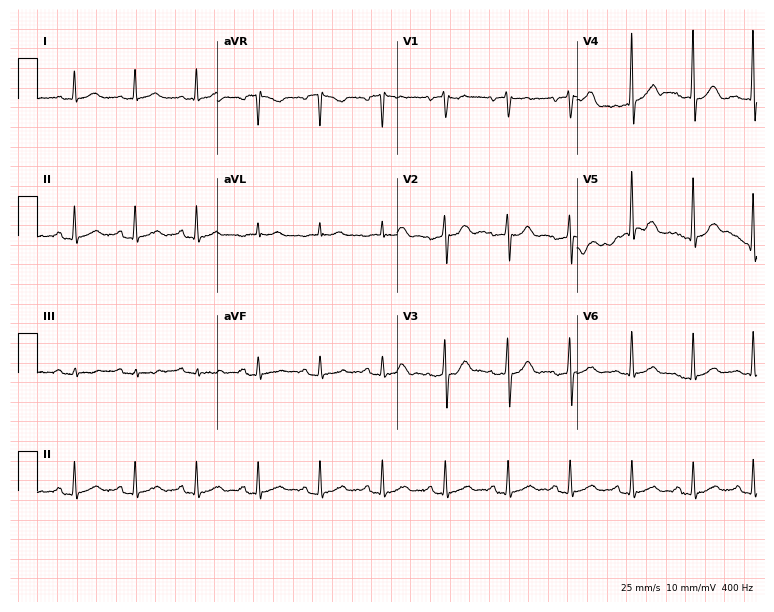
Resting 12-lead electrocardiogram. Patient: a 63-year-old male. Read as a normal ECG.